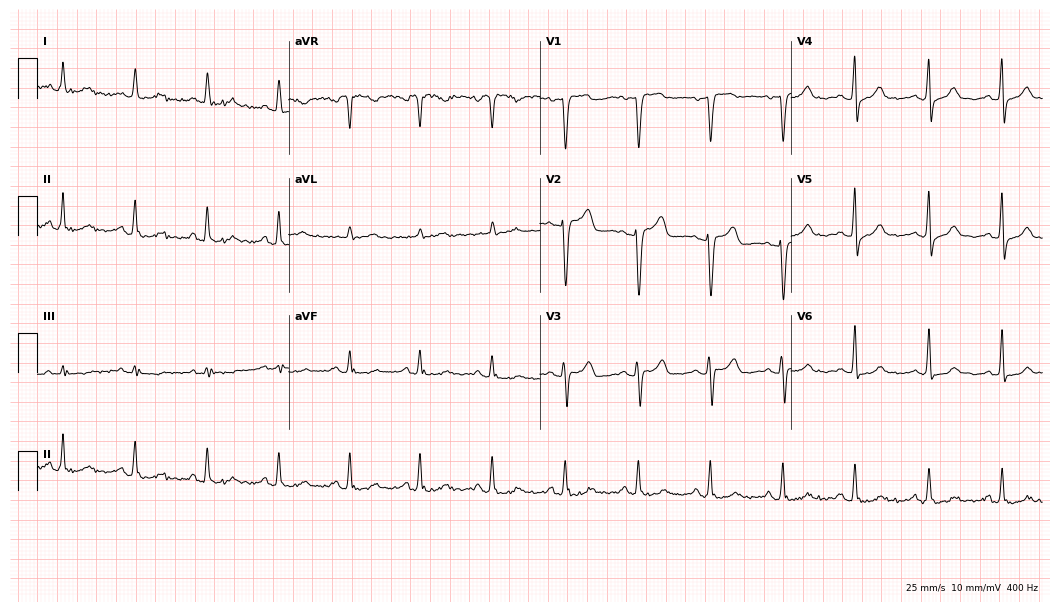
12-lead ECG from a female, 67 years old. Labelled as a normal ECG.